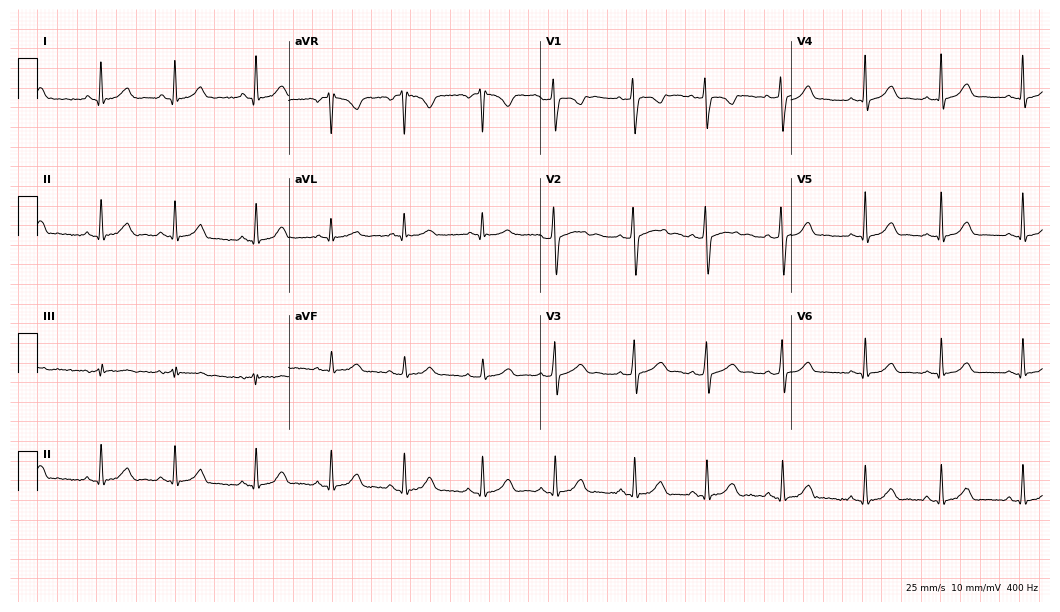
Standard 12-lead ECG recorded from a 22-year-old female patient. Read as a normal ECG.